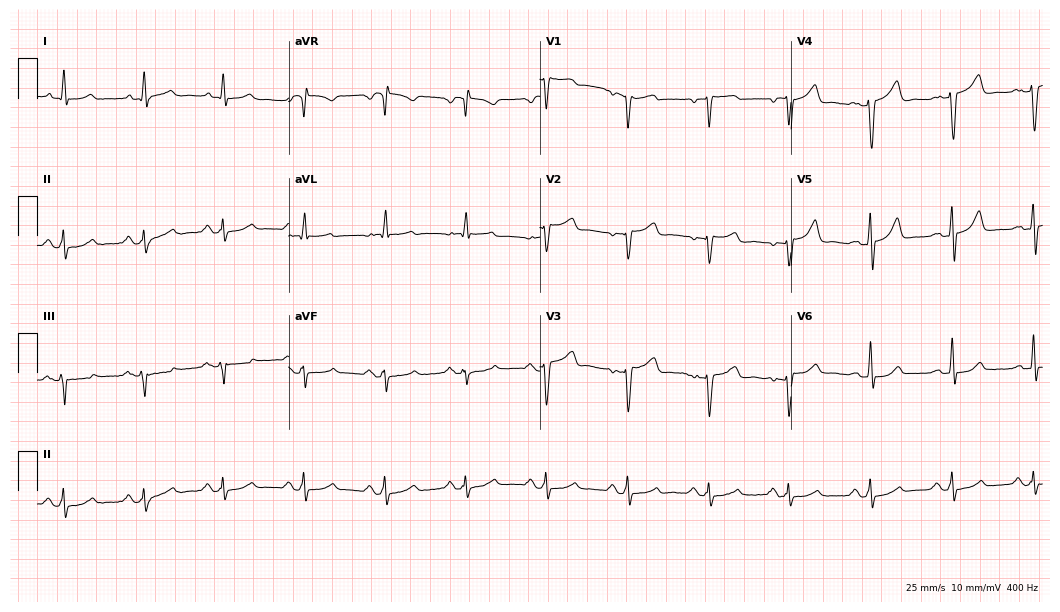
Resting 12-lead electrocardiogram (10.2-second recording at 400 Hz). Patient: a female, 49 years old. None of these six findings is recorded: first-degree AV block, right bundle branch block, left bundle branch block, sinus bradycardia, atrial fibrillation, sinus tachycardia.